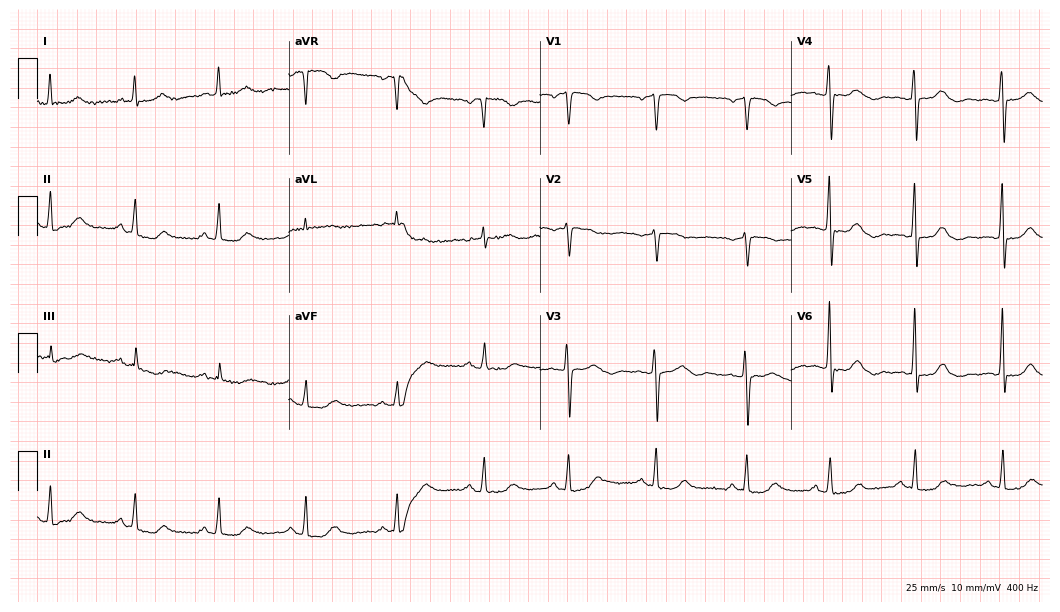
ECG — a 74-year-old female. Screened for six findings — first-degree AV block, right bundle branch block, left bundle branch block, sinus bradycardia, atrial fibrillation, sinus tachycardia — none is recorded. Only these six findings were labelled.